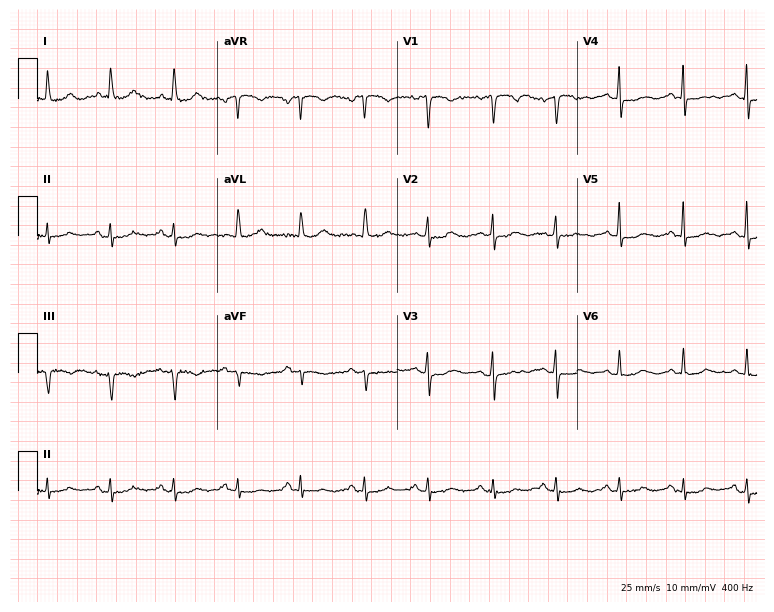
ECG — an 80-year-old female. Screened for six findings — first-degree AV block, right bundle branch block (RBBB), left bundle branch block (LBBB), sinus bradycardia, atrial fibrillation (AF), sinus tachycardia — none is recorded.